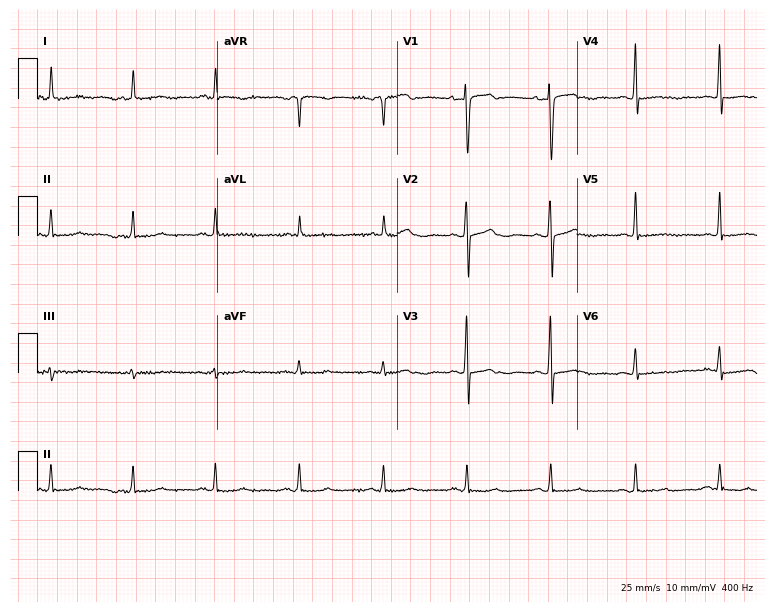
Electrocardiogram (7.3-second recording at 400 Hz), a female patient, 71 years old. Of the six screened findings (first-degree AV block, right bundle branch block, left bundle branch block, sinus bradycardia, atrial fibrillation, sinus tachycardia), none is recorded.